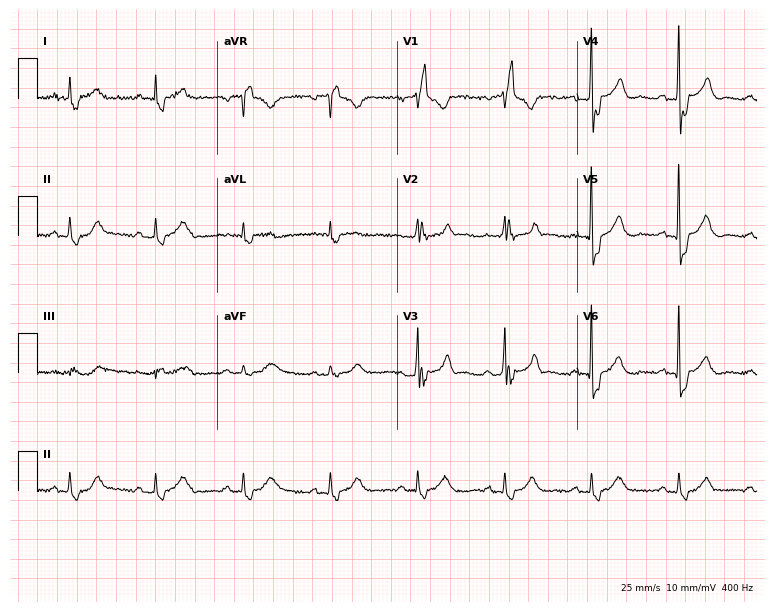
12-lead ECG from a male, 69 years old. Shows right bundle branch block (RBBB).